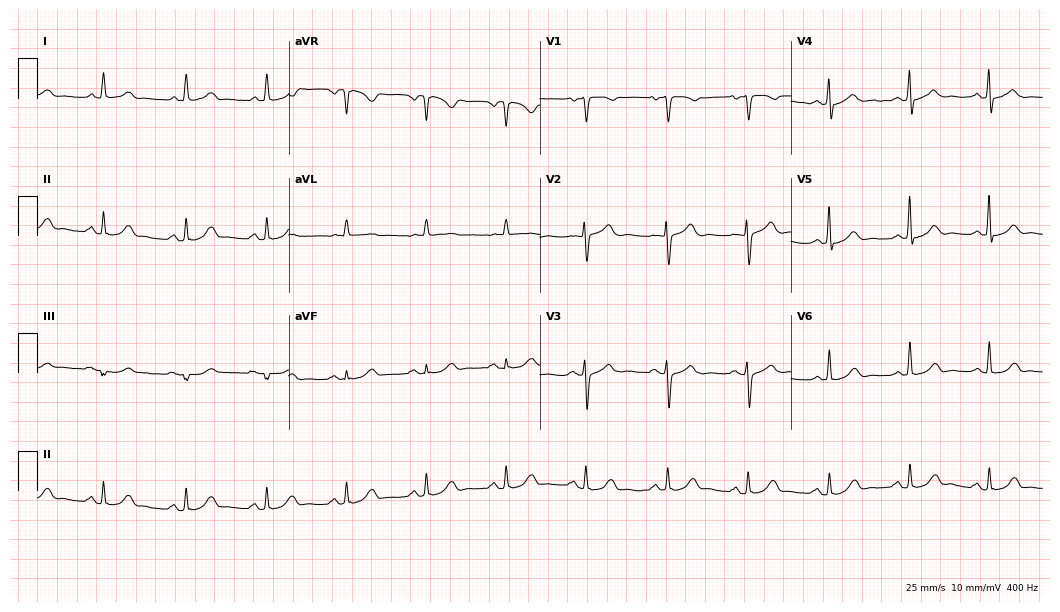
12-lead ECG from a 60-year-old woman. Recorded interpretation: within normal limits.